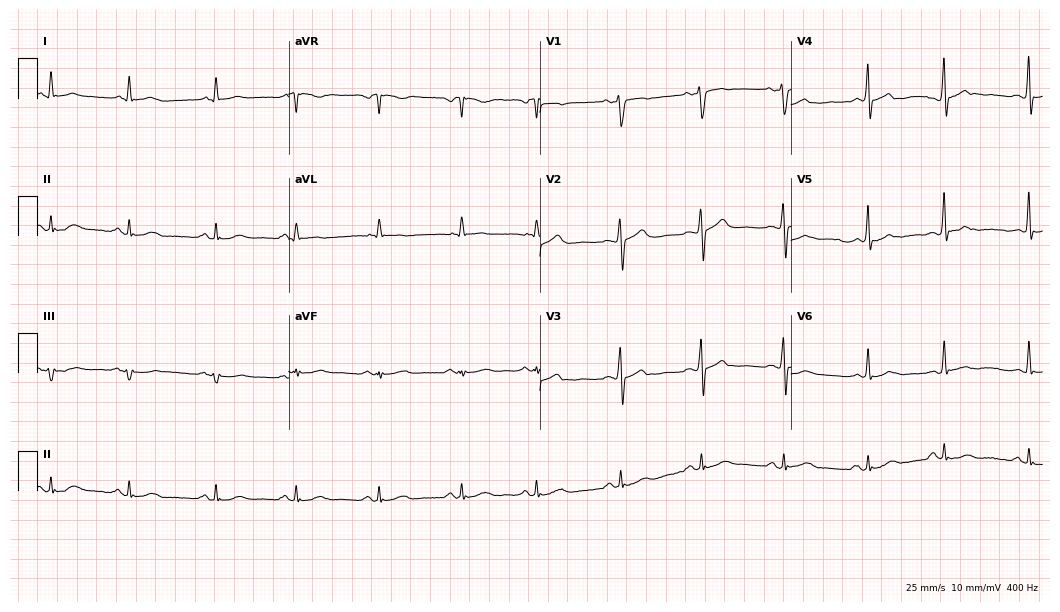
Standard 12-lead ECG recorded from a man, 63 years old. Read as a normal ECG.